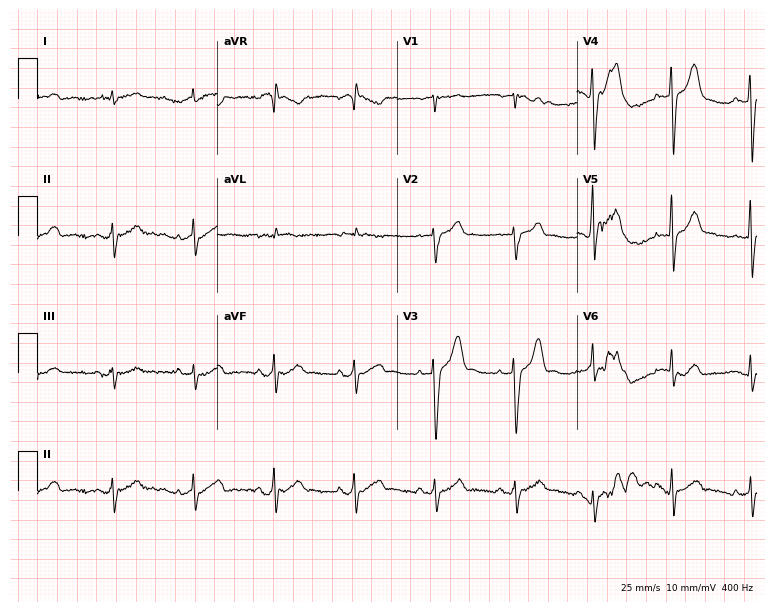
12-lead ECG from a male, 63 years old. Recorded interpretation: within normal limits.